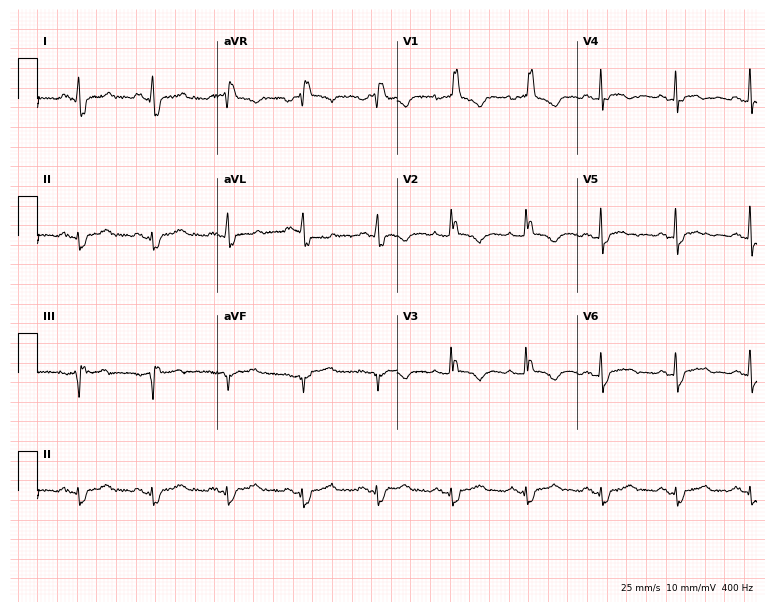
Electrocardiogram, a female, 53 years old. Interpretation includes right bundle branch block.